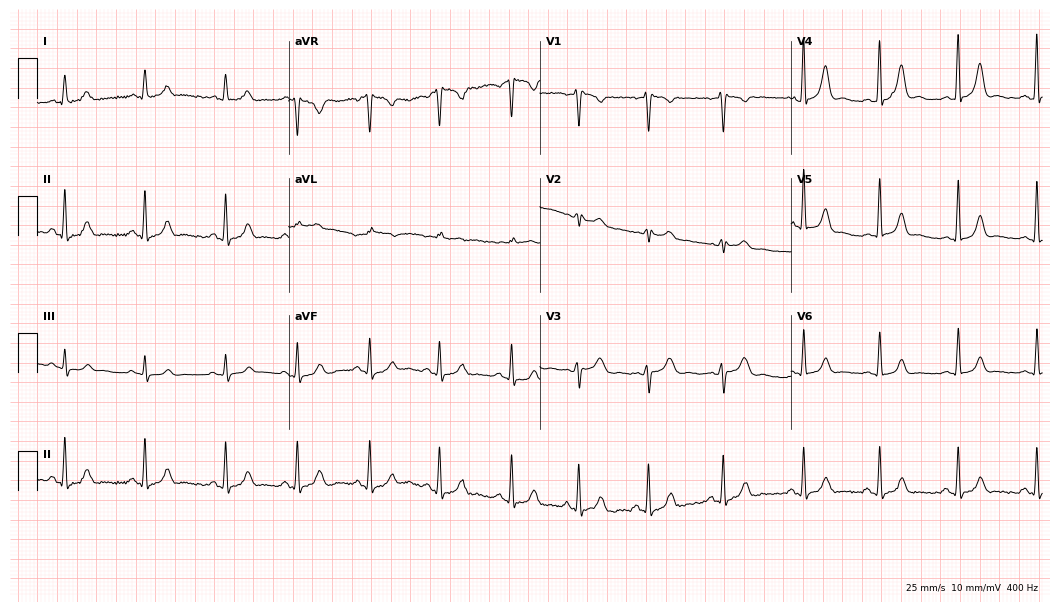
Electrocardiogram (10.2-second recording at 400 Hz), a 22-year-old female patient. Overall reading on record: normal ECG.